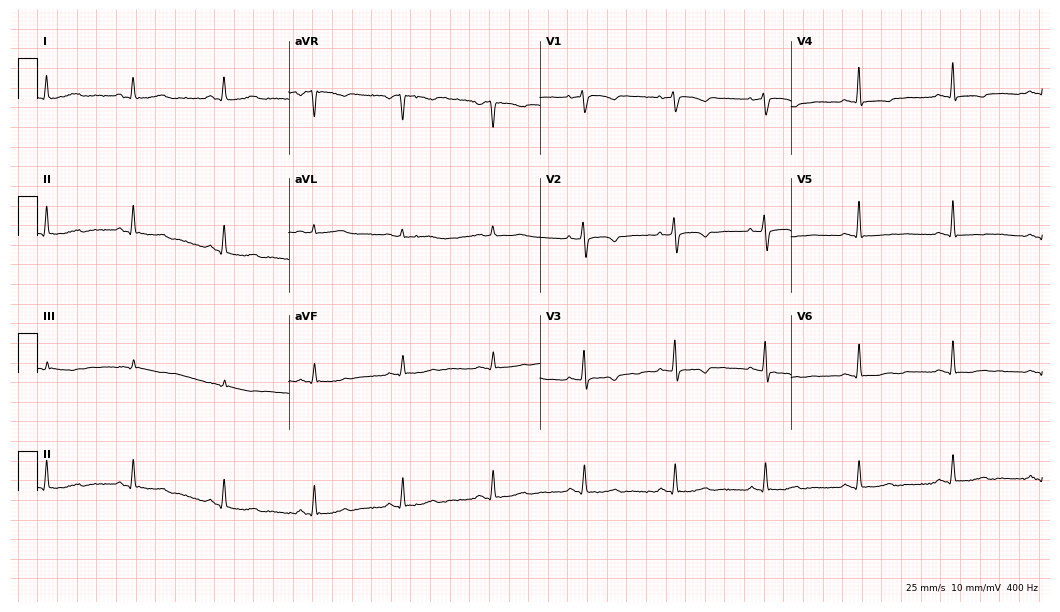
Electrocardiogram, a female patient, 59 years old. Of the six screened findings (first-degree AV block, right bundle branch block, left bundle branch block, sinus bradycardia, atrial fibrillation, sinus tachycardia), none is recorded. Other findings, if any, are not listed.